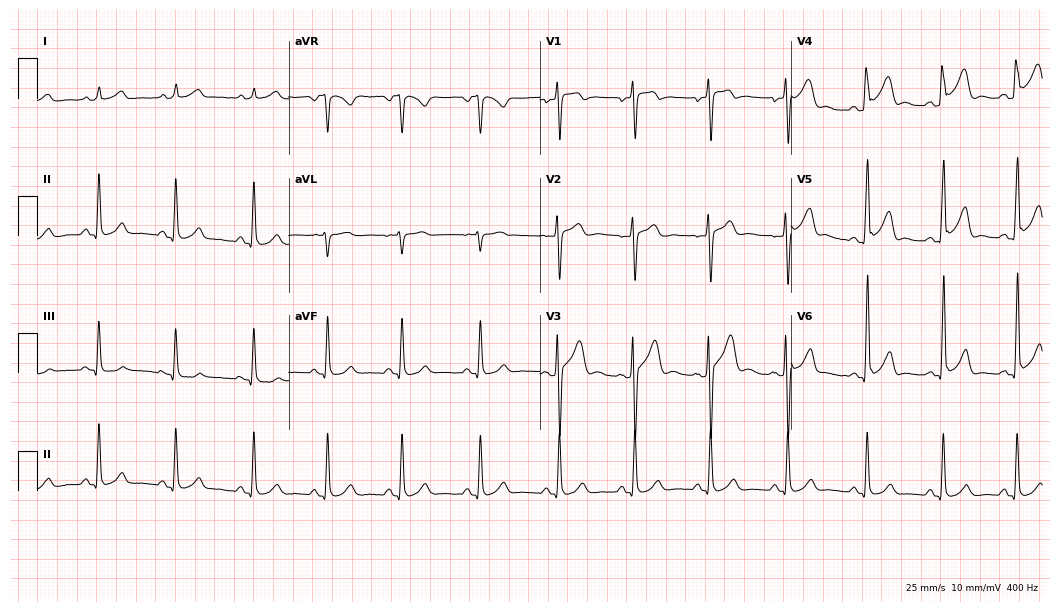
Resting 12-lead electrocardiogram (10.2-second recording at 400 Hz). Patient: a 19-year-old male. None of these six findings is recorded: first-degree AV block, right bundle branch block, left bundle branch block, sinus bradycardia, atrial fibrillation, sinus tachycardia.